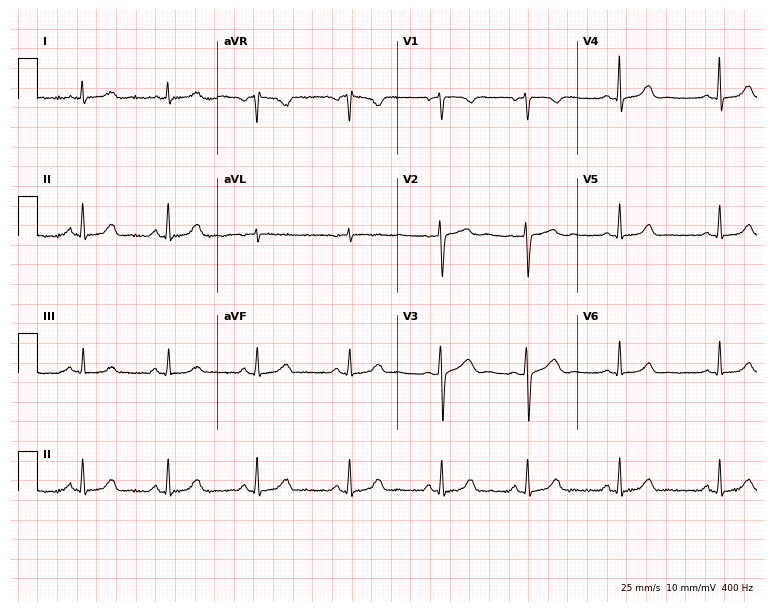
12-lead ECG from a female patient, 35 years old. No first-degree AV block, right bundle branch block (RBBB), left bundle branch block (LBBB), sinus bradycardia, atrial fibrillation (AF) or sinus tachycardia recorded for this tracing. Other findings, if any, are not listed.